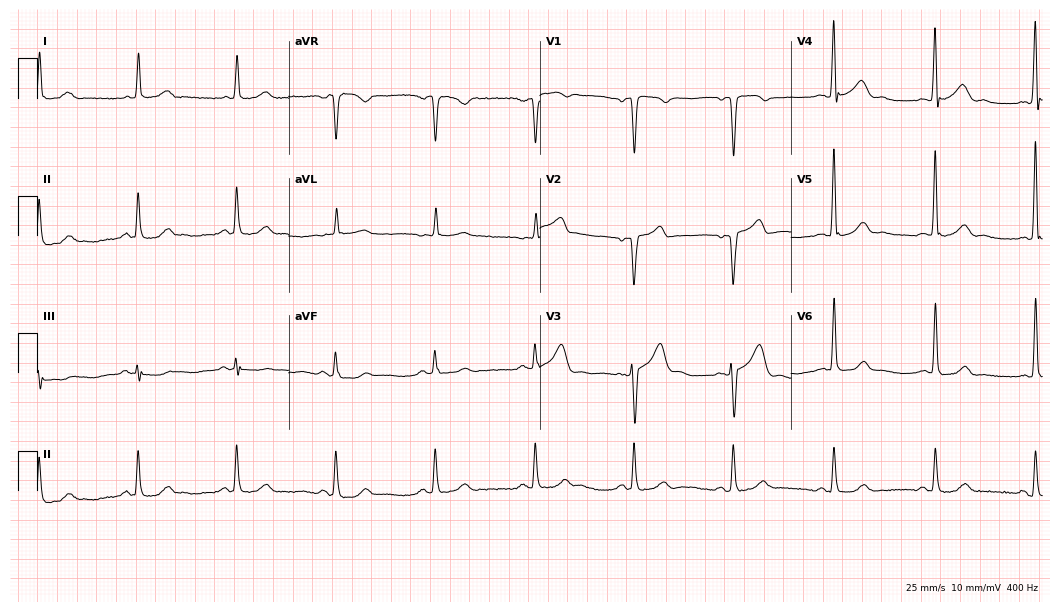
Standard 12-lead ECG recorded from a man, 75 years old. None of these six findings is recorded: first-degree AV block, right bundle branch block (RBBB), left bundle branch block (LBBB), sinus bradycardia, atrial fibrillation (AF), sinus tachycardia. Findings outside these six are not listed.